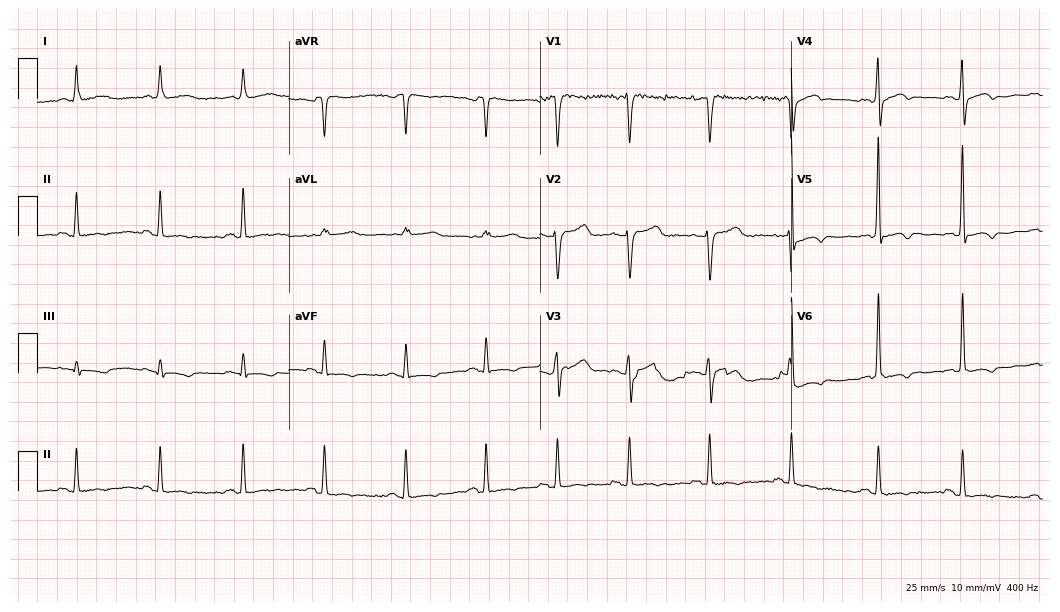
ECG (10.2-second recording at 400 Hz) — a 74-year-old woman. Screened for six findings — first-degree AV block, right bundle branch block (RBBB), left bundle branch block (LBBB), sinus bradycardia, atrial fibrillation (AF), sinus tachycardia — none is recorded. Findings outside these six are not listed.